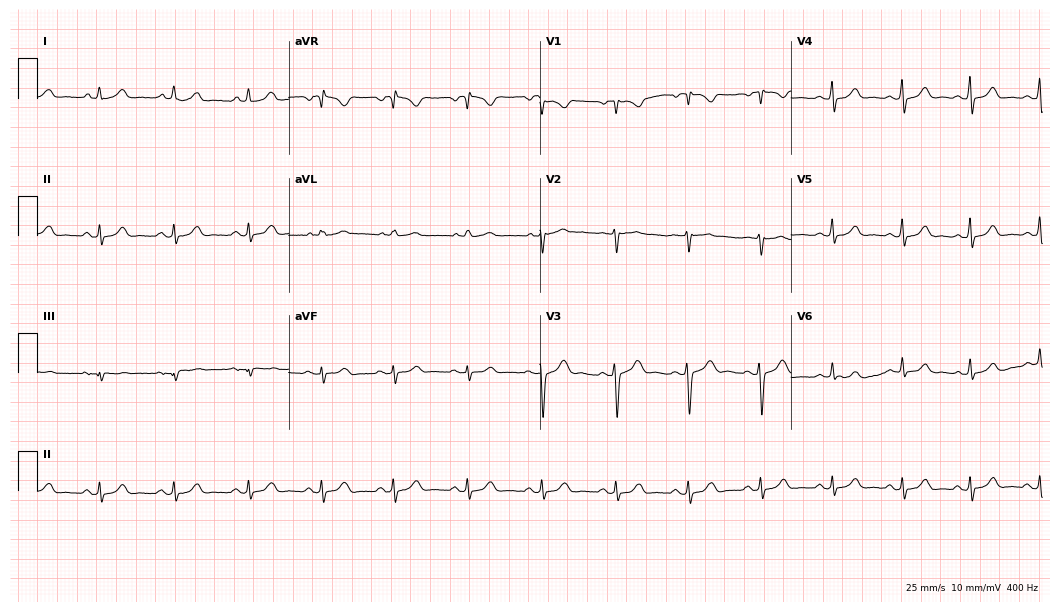
ECG — a woman, 41 years old. Labelled as a normal ECG.